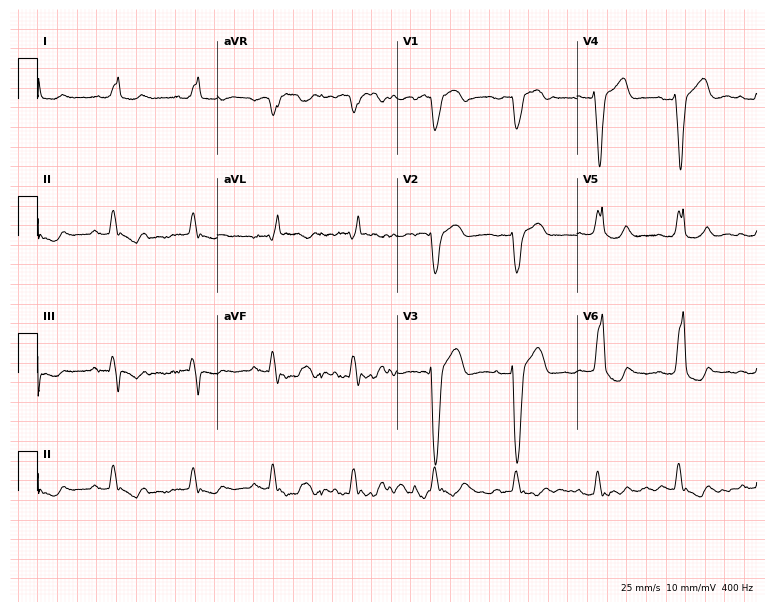
Standard 12-lead ECG recorded from a male, 77 years old (7.3-second recording at 400 Hz). The tracing shows left bundle branch block.